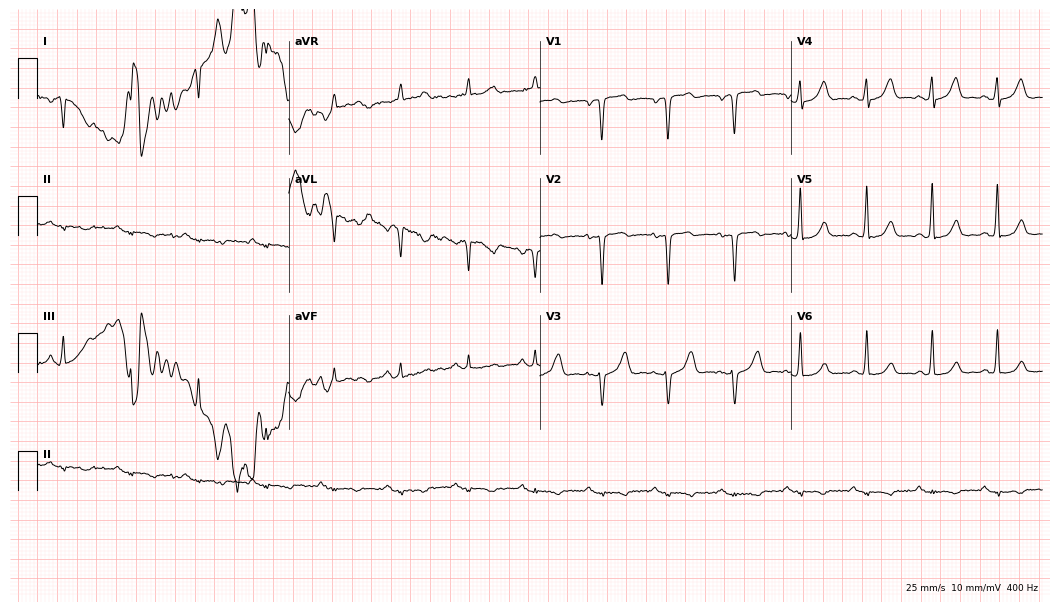
Resting 12-lead electrocardiogram (10.2-second recording at 400 Hz). Patient: a 54-year-old woman. None of these six findings is recorded: first-degree AV block, right bundle branch block, left bundle branch block, sinus bradycardia, atrial fibrillation, sinus tachycardia. Findings outside these six are not listed.